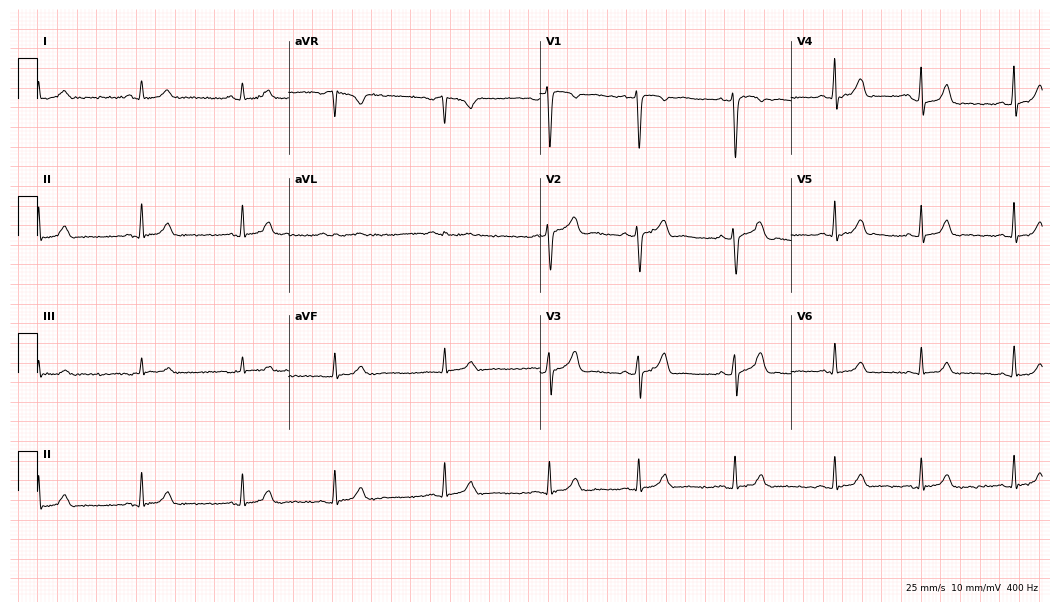
Standard 12-lead ECG recorded from a 26-year-old female patient. Read as a normal ECG.